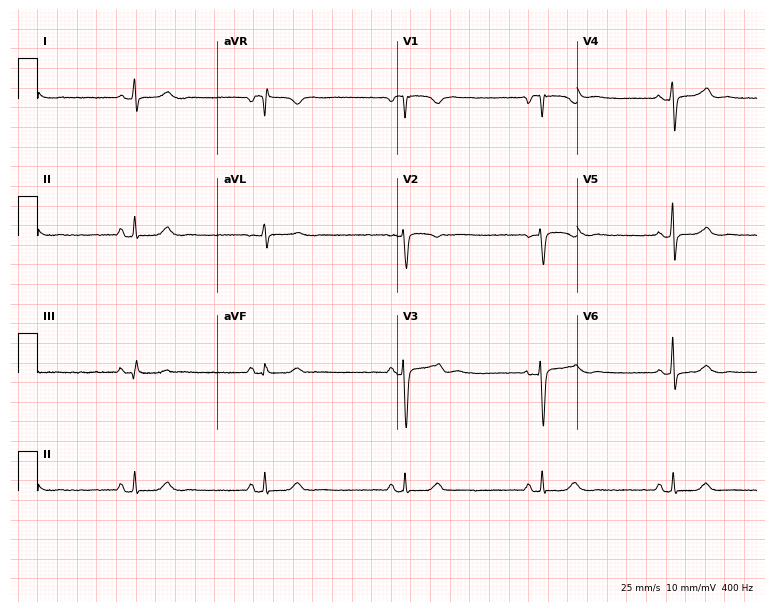
12-lead ECG (7.3-second recording at 400 Hz) from a 56-year-old female. Findings include sinus bradycardia (a sinus rate of 50 beats per minute or less).